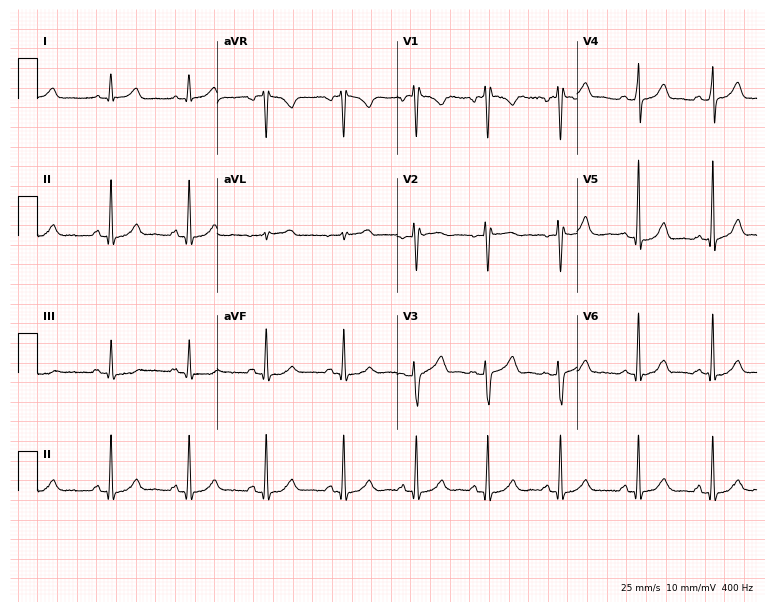
ECG — a female patient, 34 years old. Labelled as a normal ECG.